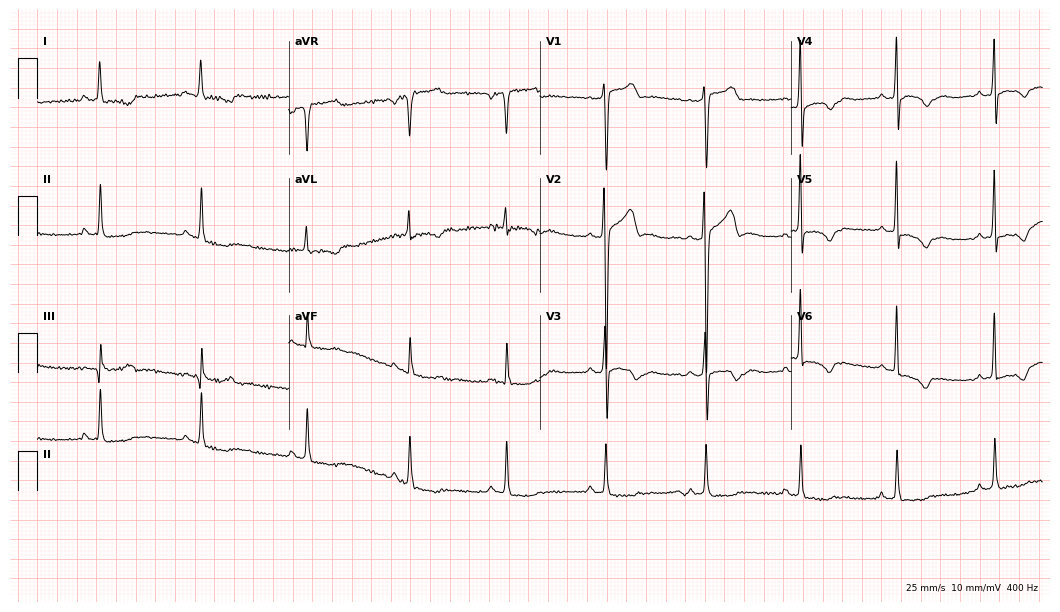
Standard 12-lead ECG recorded from a 61-year-old male patient. None of these six findings is recorded: first-degree AV block, right bundle branch block (RBBB), left bundle branch block (LBBB), sinus bradycardia, atrial fibrillation (AF), sinus tachycardia.